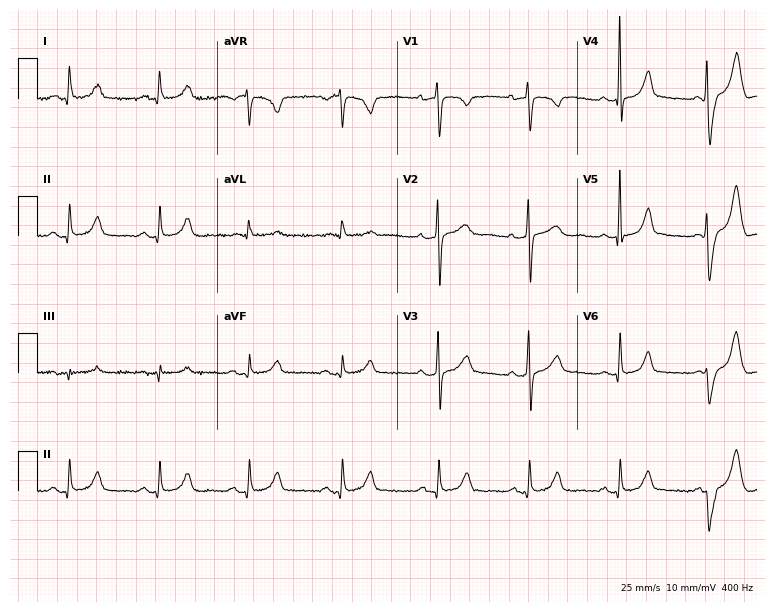
ECG (7.3-second recording at 400 Hz) — a female patient, 48 years old. Screened for six findings — first-degree AV block, right bundle branch block, left bundle branch block, sinus bradycardia, atrial fibrillation, sinus tachycardia — none is recorded.